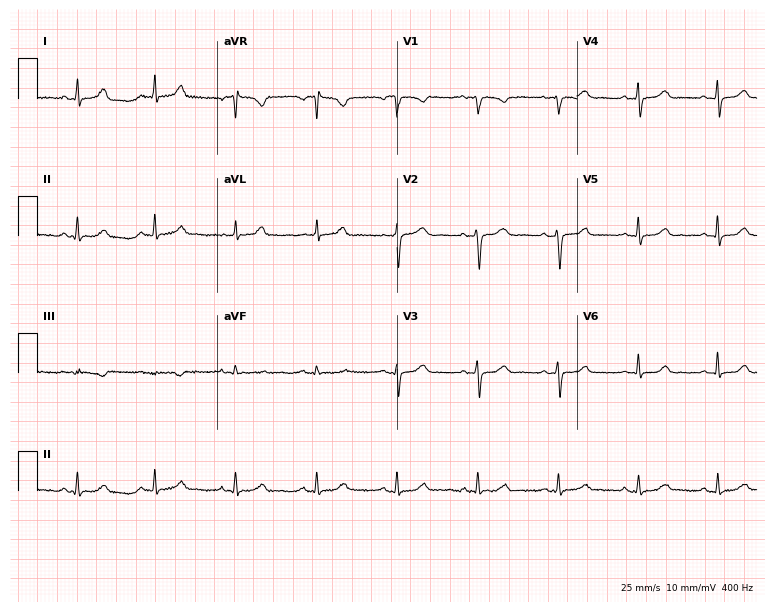
Standard 12-lead ECG recorded from a 42-year-old woman. Read as a normal ECG.